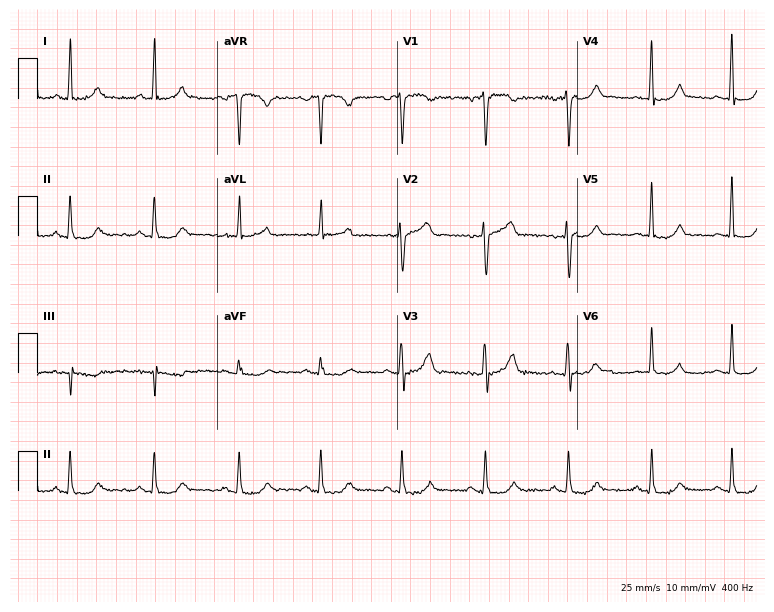
12-lead ECG from a 52-year-old woman (7.3-second recording at 400 Hz). Recorded interpretation: within normal limits.